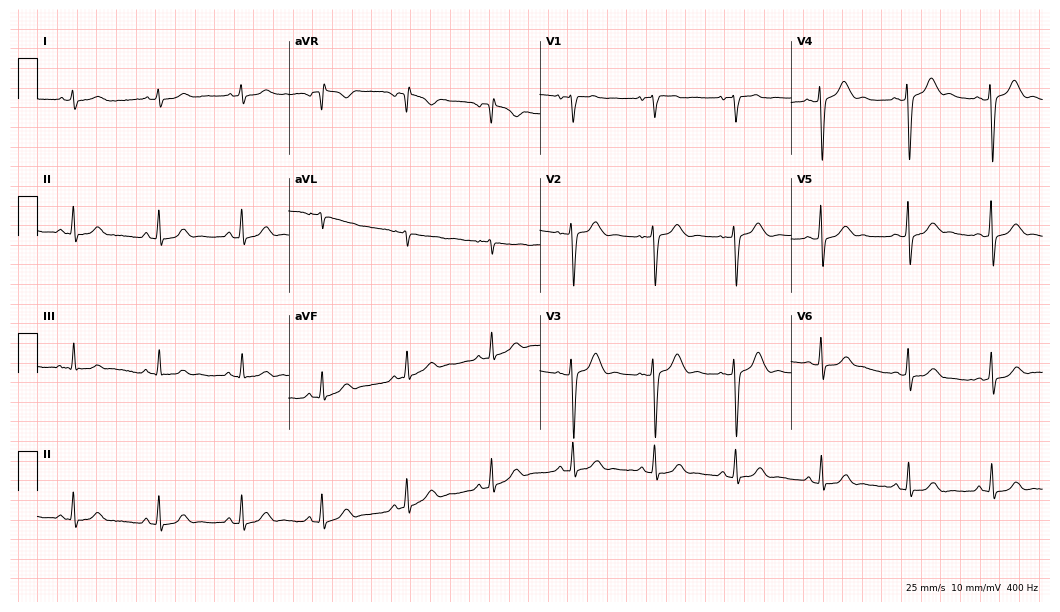
12-lead ECG from a female, 23 years old. Recorded interpretation: within normal limits.